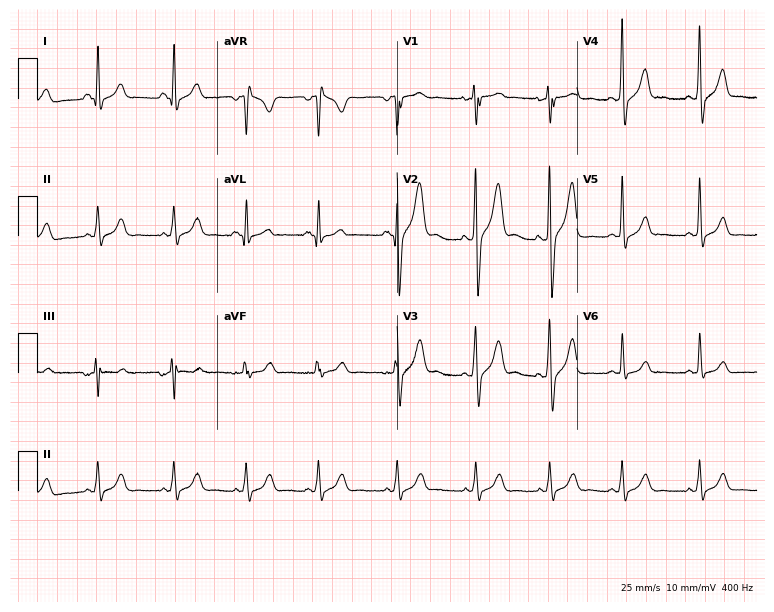
Electrocardiogram (7.3-second recording at 400 Hz), a male patient, 23 years old. Of the six screened findings (first-degree AV block, right bundle branch block, left bundle branch block, sinus bradycardia, atrial fibrillation, sinus tachycardia), none is recorded. Only these six findings were labelled.